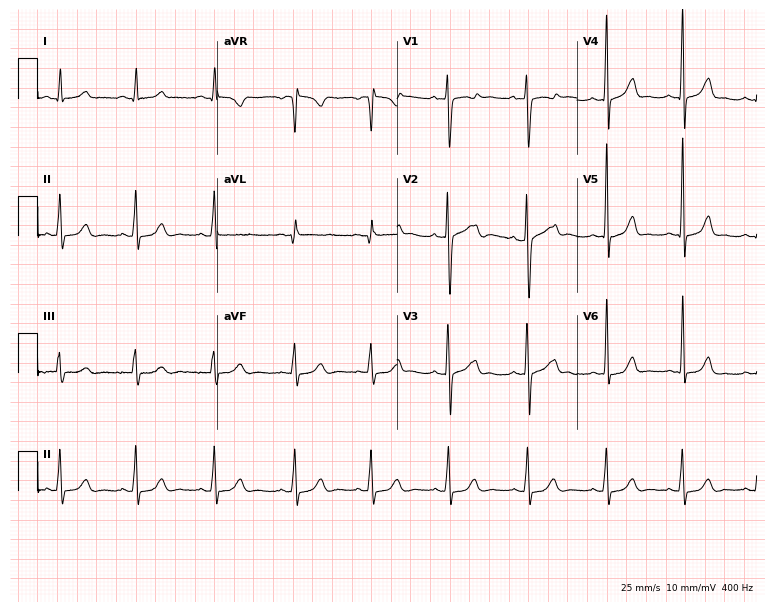
Resting 12-lead electrocardiogram (7.3-second recording at 400 Hz). Patient: a female, 19 years old. Read as a normal ECG.